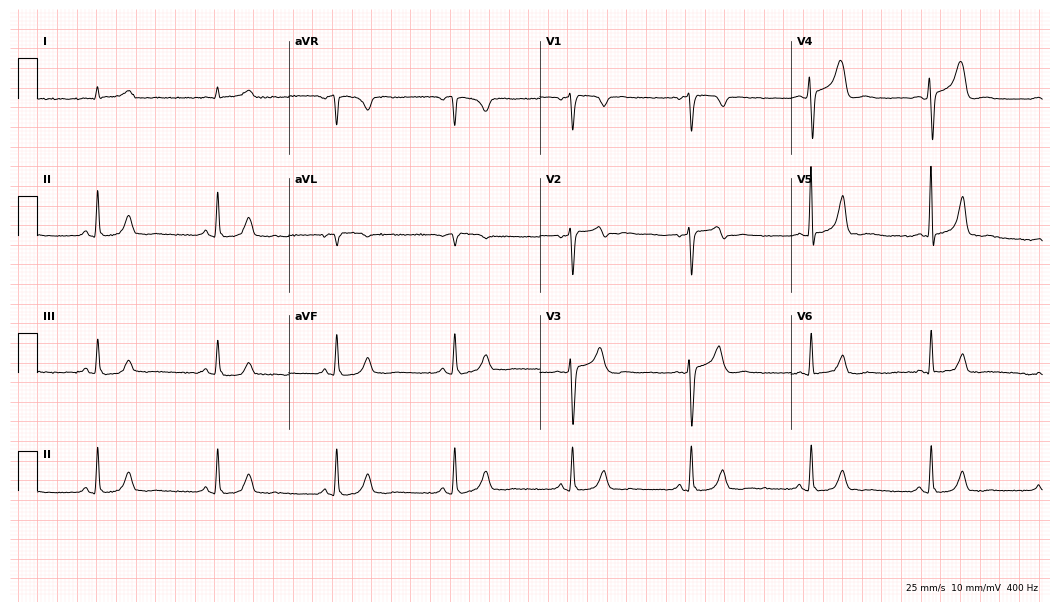
Resting 12-lead electrocardiogram. Patient: a 57-year-old man. None of these six findings is recorded: first-degree AV block, right bundle branch block (RBBB), left bundle branch block (LBBB), sinus bradycardia, atrial fibrillation (AF), sinus tachycardia.